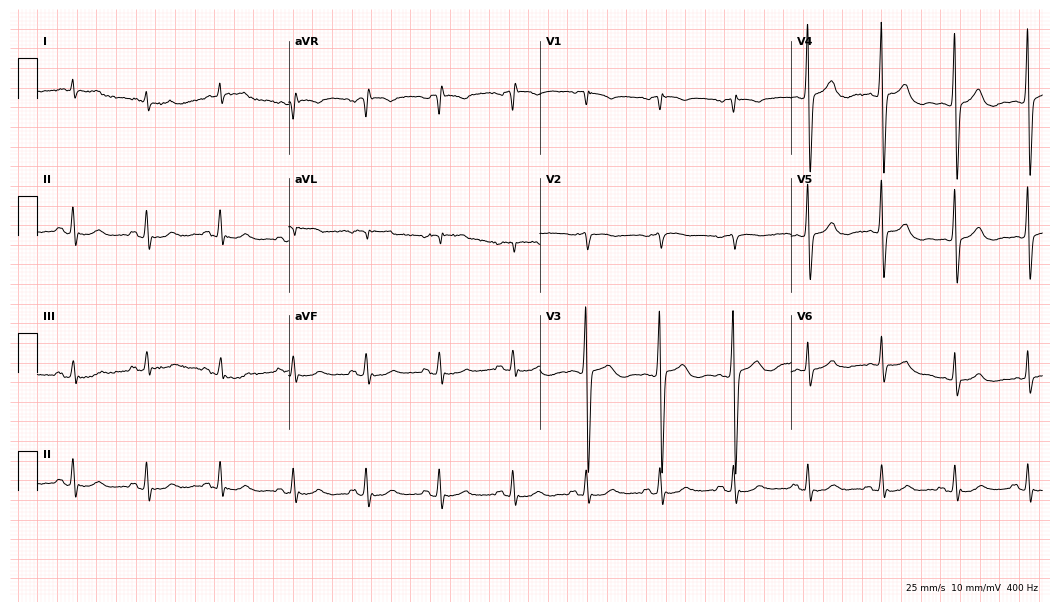
12-lead ECG from an 81-year-old male (10.2-second recording at 400 Hz). Recorded interpretation: within normal limits.